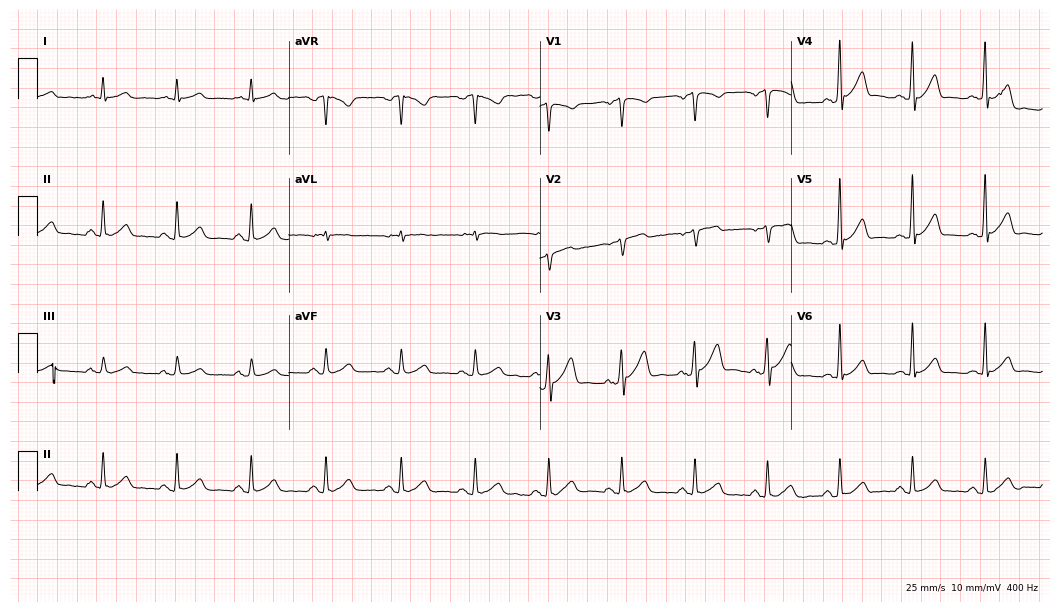
Standard 12-lead ECG recorded from a man, 49 years old (10.2-second recording at 400 Hz). Read as a normal ECG.